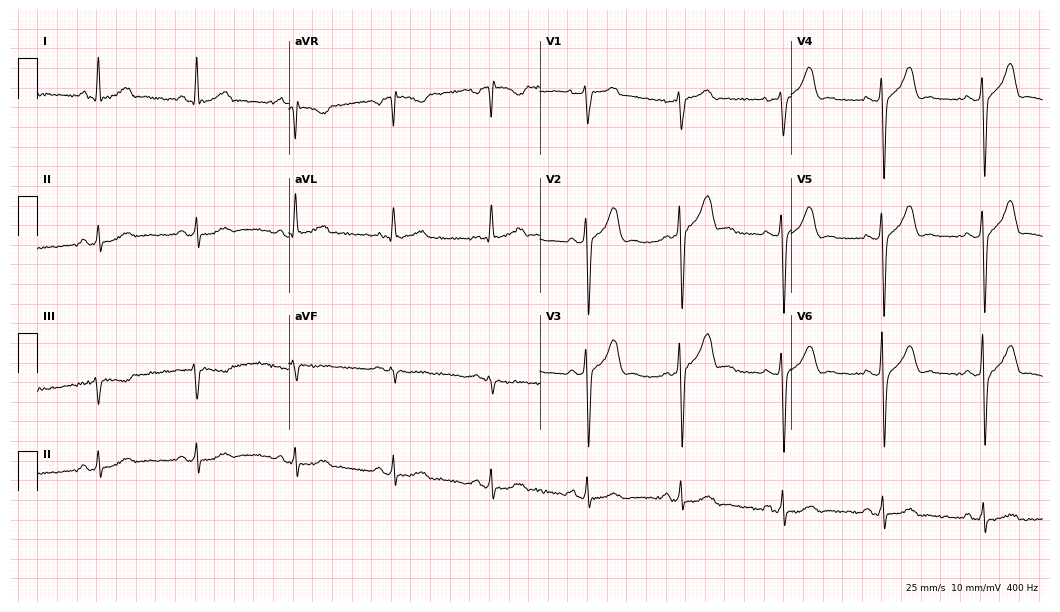
12-lead ECG (10.2-second recording at 400 Hz) from a 70-year-old man. Screened for six findings — first-degree AV block, right bundle branch block, left bundle branch block, sinus bradycardia, atrial fibrillation, sinus tachycardia — none is recorded.